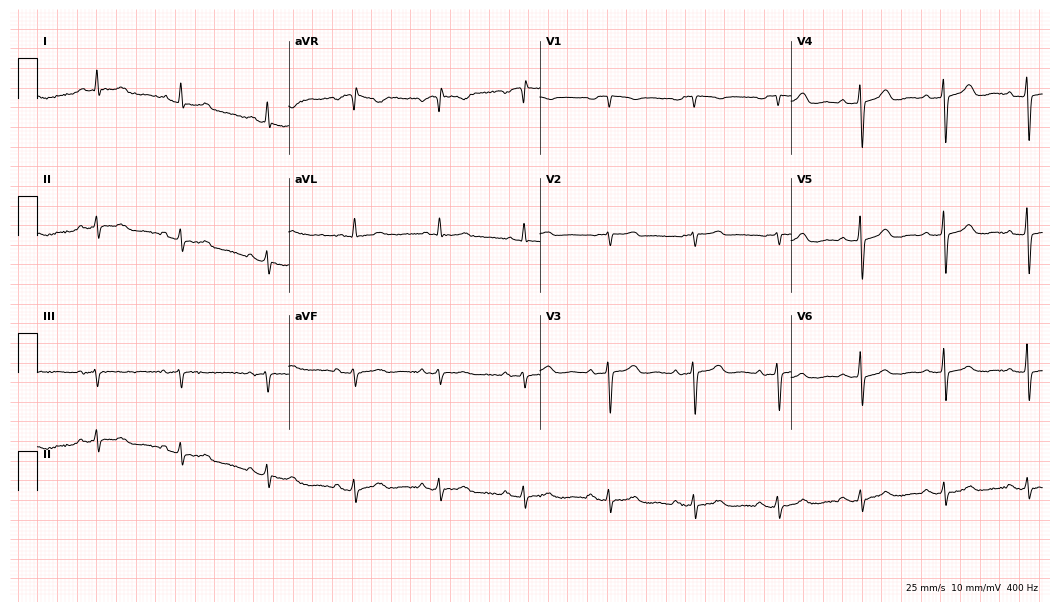
Standard 12-lead ECG recorded from a 76-year-old female patient (10.2-second recording at 400 Hz). None of these six findings is recorded: first-degree AV block, right bundle branch block, left bundle branch block, sinus bradycardia, atrial fibrillation, sinus tachycardia.